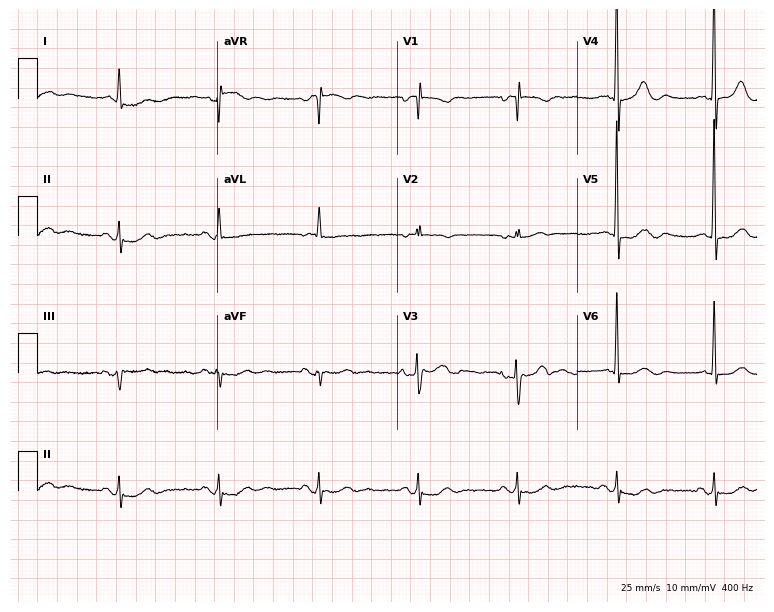
12-lead ECG from a male patient, 80 years old (7.3-second recording at 400 Hz). No first-degree AV block, right bundle branch block (RBBB), left bundle branch block (LBBB), sinus bradycardia, atrial fibrillation (AF) or sinus tachycardia recorded for this tracing. Findings outside these six are not listed.